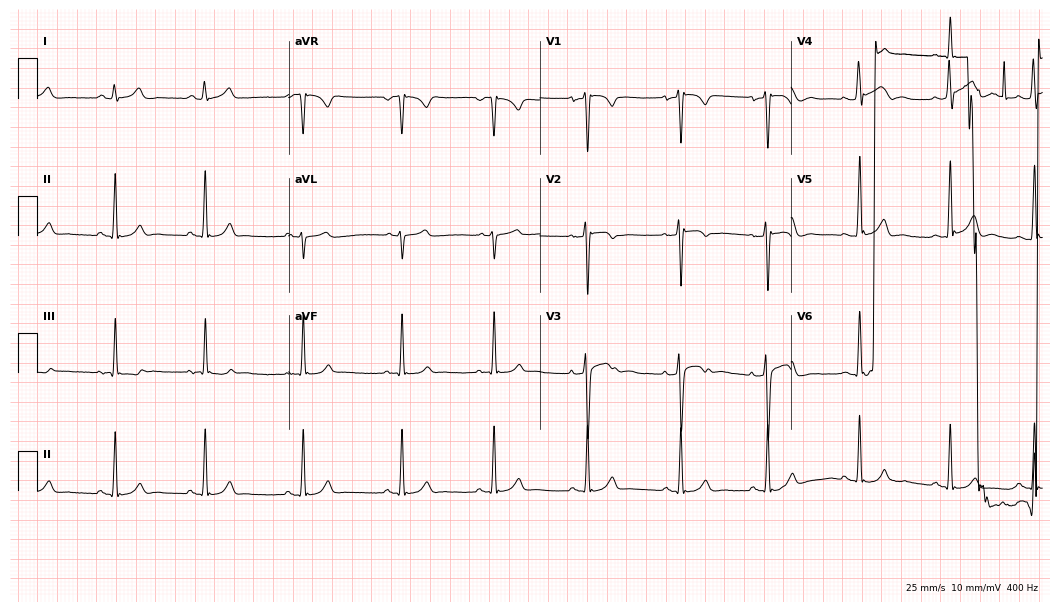
12-lead ECG from a male, 39 years old. Labelled as a normal ECG.